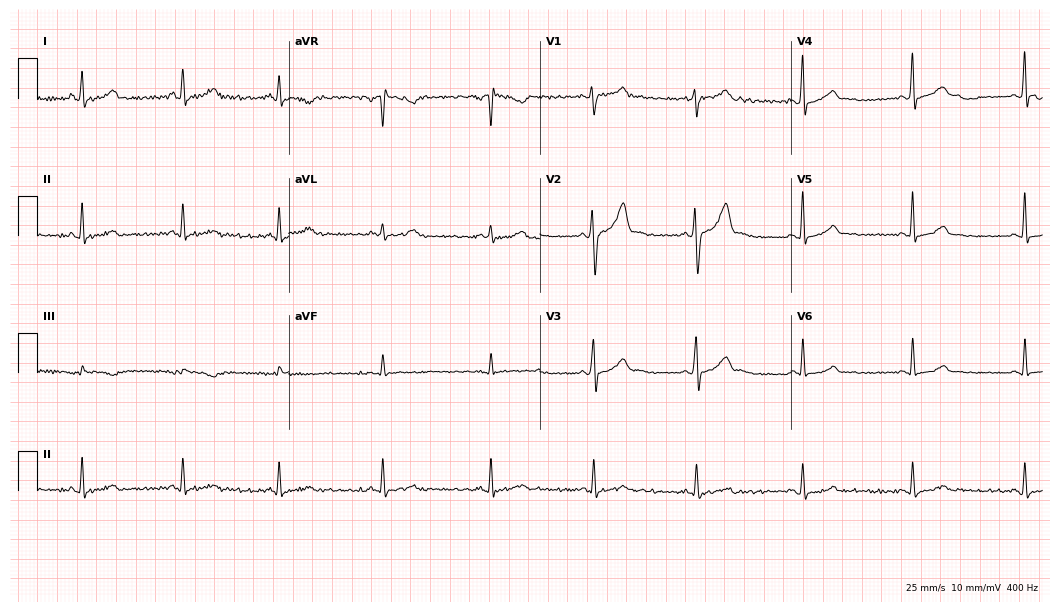
Electrocardiogram (10.2-second recording at 400 Hz), a 26-year-old male. Overall reading on record: normal ECG.